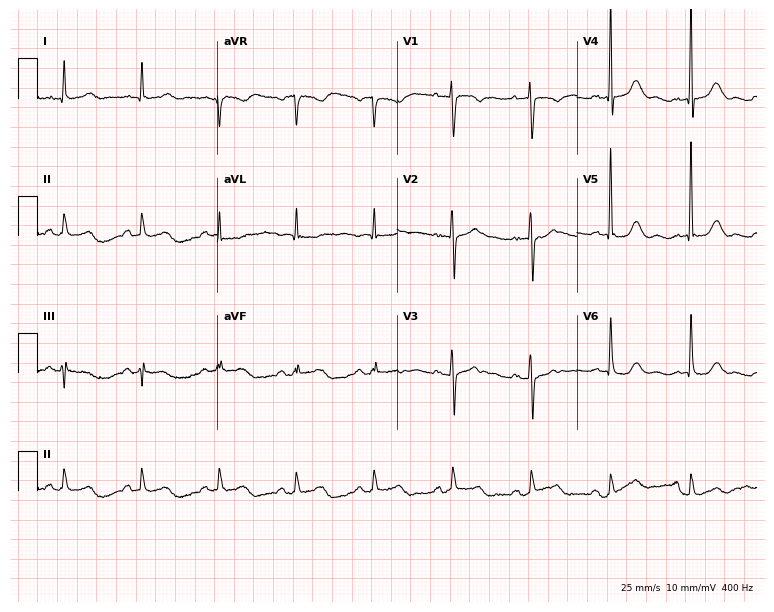
Electrocardiogram, a male, 83 years old. Overall reading on record: normal ECG.